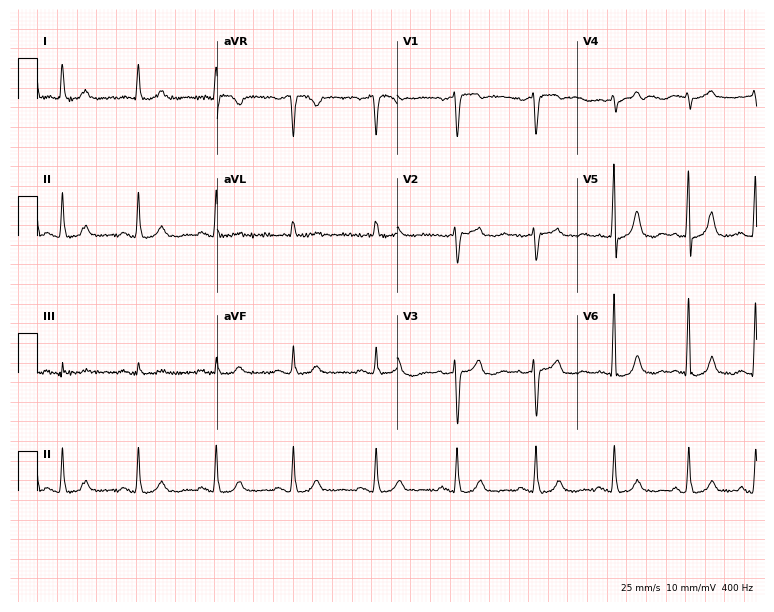
ECG (7.3-second recording at 400 Hz) — a 77-year-old woman. Labelled as a normal ECG.